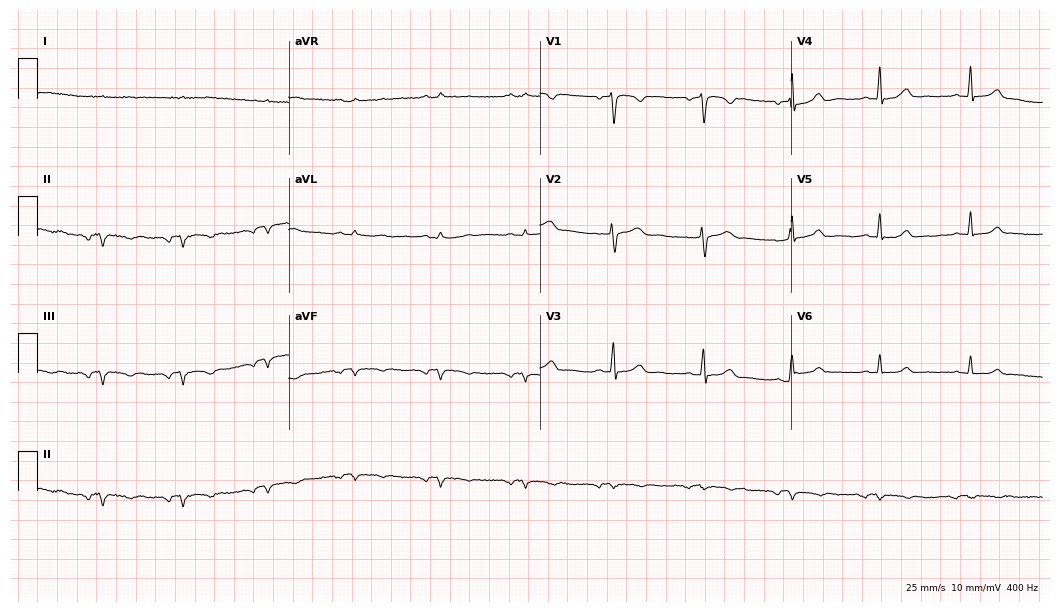
12-lead ECG (10.2-second recording at 400 Hz) from a 51-year-old female. Screened for six findings — first-degree AV block, right bundle branch block, left bundle branch block, sinus bradycardia, atrial fibrillation, sinus tachycardia — none is recorded.